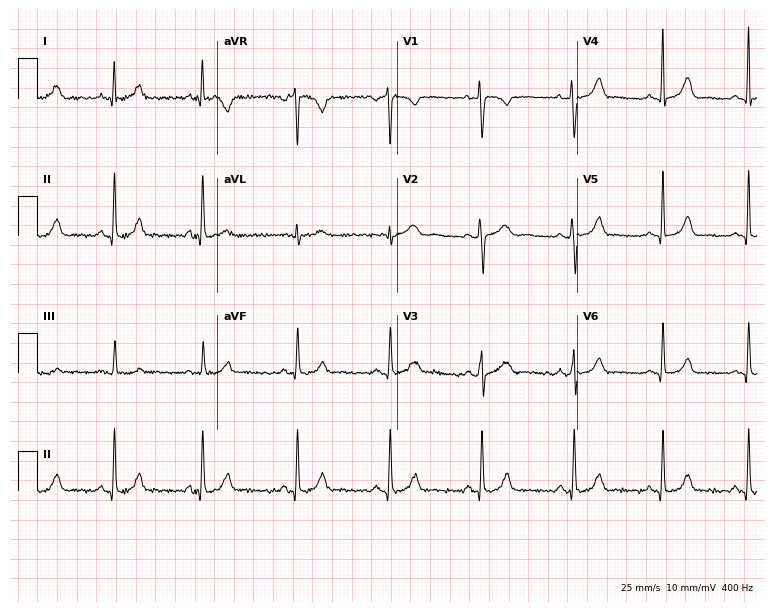
ECG — a woman, 29 years old. Screened for six findings — first-degree AV block, right bundle branch block, left bundle branch block, sinus bradycardia, atrial fibrillation, sinus tachycardia — none is recorded.